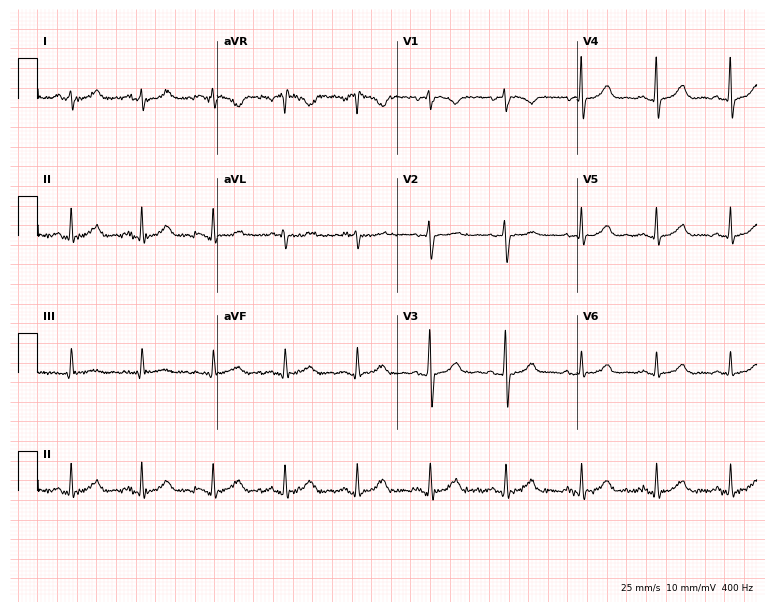
12-lead ECG from a 57-year-old female (7.3-second recording at 400 Hz). No first-degree AV block, right bundle branch block (RBBB), left bundle branch block (LBBB), sinus bradycardia, atrial fibrillation (AF) or sinus tachycardia recorded for this tracing. Findings outside these six are not listed.